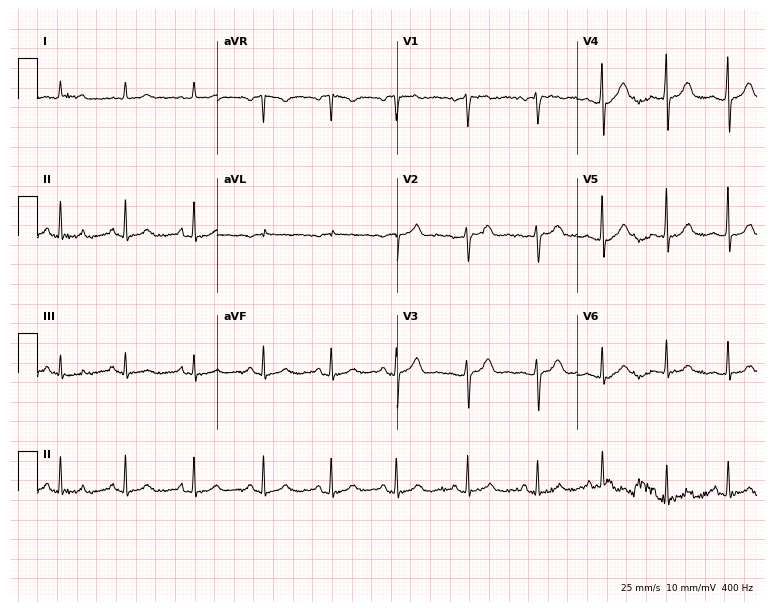
12-lead ECG from a 36-year-old female (7.3-second recording at 400 Hz). No first-degree AV block, right bundle branch block, left bundle branch block, sinus bradycardia, atrial fibrillation or sinus tachycardia recorded for this tracing. Only these six findings were labelled.